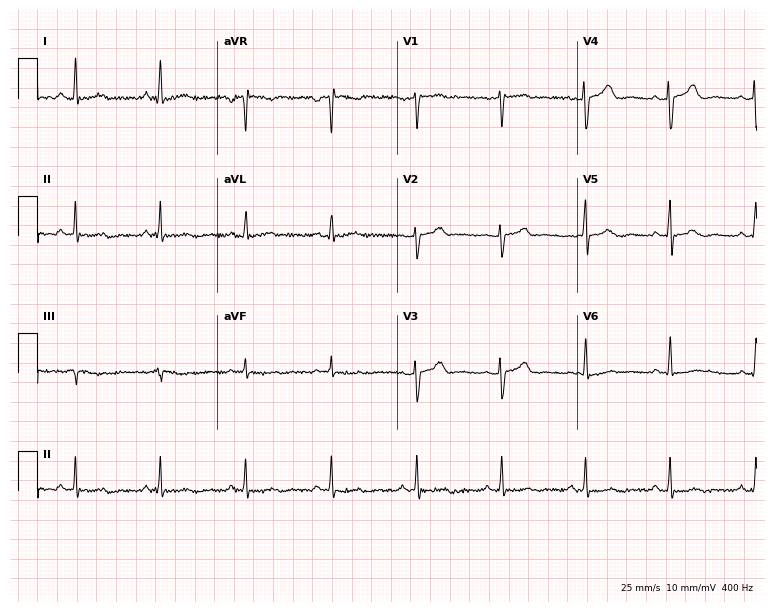
ECG (7.3-second recording at 400 Hz) — a female, 57 years old. Screened for six findings — first-degree AV block, right bundle branch block, left bundle branch block, sinus bradycardia, atrial fibrillation, sinus tachycardia — none is recorded.